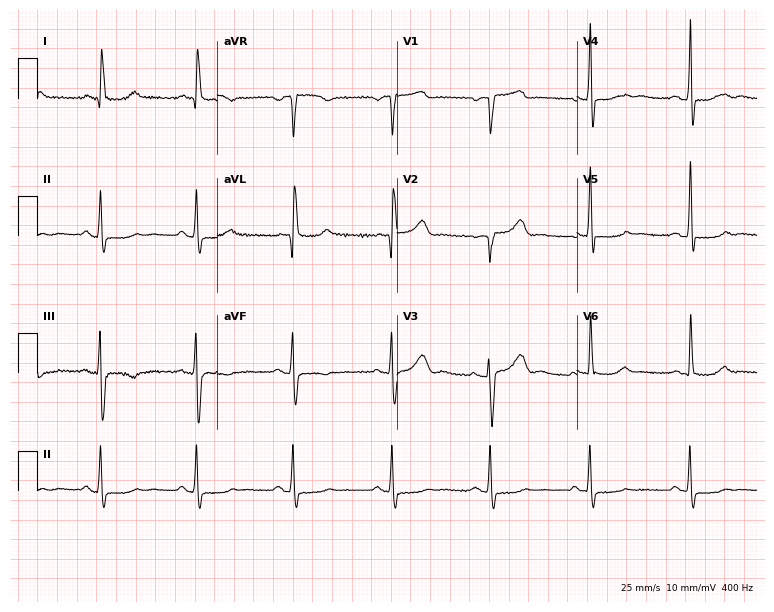
Standard 12-lead ECG recorded from a 54-year-old female patient (7.3-second recording at 400 Hz). Read as a normal ECG.